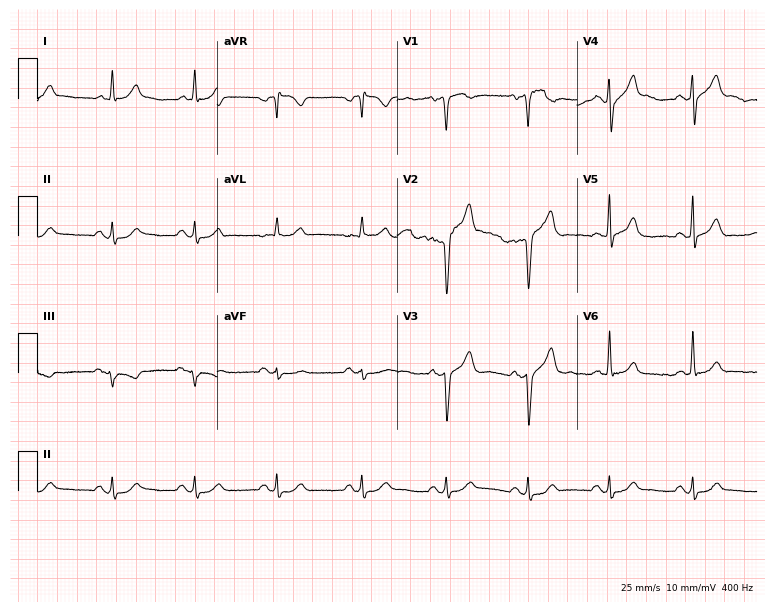
Standard 12-lead ECG recorded from a 57-year-old man. None of these six findings is recorded: first-degree AV block, right bundle branch block, left bundle branch block, sinus bradycardia, atrial fibrillation, sinus tachycardia.